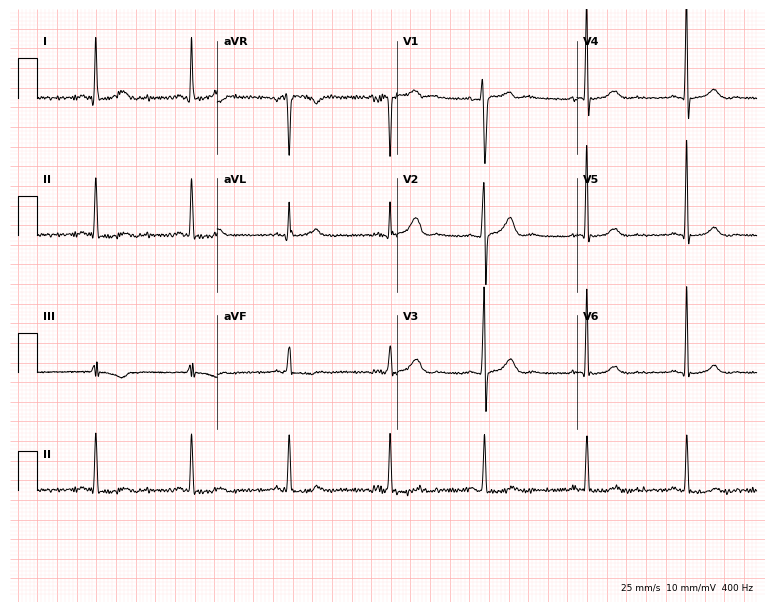
12-lead ECG from a female, 32 years old (7.3-second recording at 400 Hz). No first-degree AV block, right bundle branch block, left bundle branch block, sinus bradycardia, atrial fibrillation or sinus tachycardia recorded for this tracing.